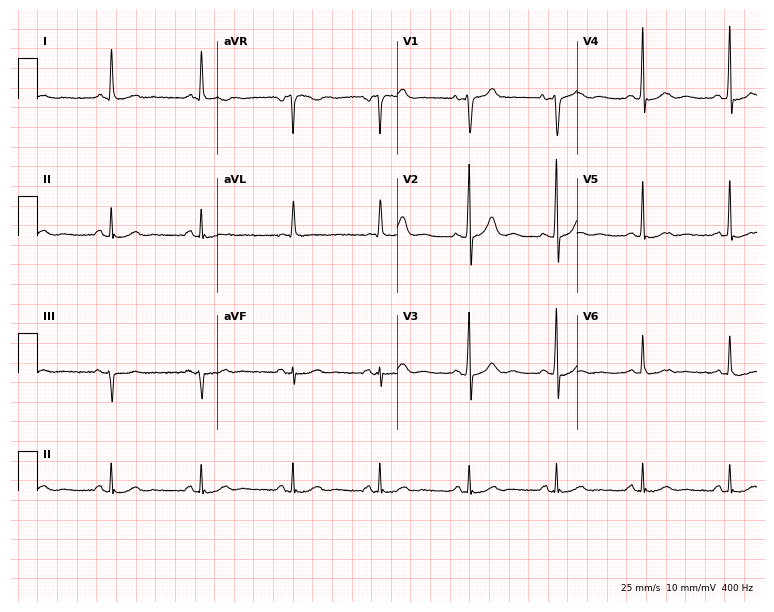
Standard 12-lead ECG recorded from a male, 68 years old. None of these six findings is recorded: first-degree AV block, right bundle branch block, left bundle branch block, sinus bradycardia, atrial fibrillation, sinus tachycardia. Only these six findings were labelled.